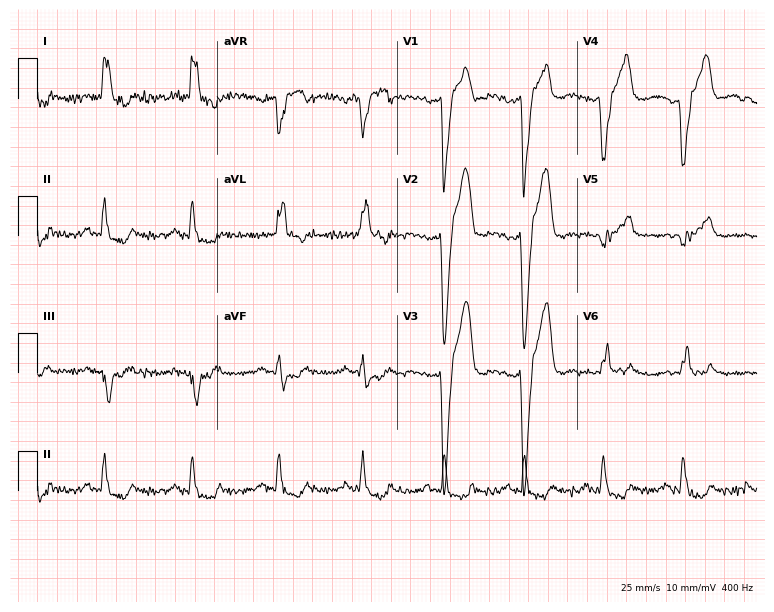
Standard 12-lead ECG recorded from a 49-year-old male (7.3-second recording at 400 Hz). The tracing shows left bundle branch block.